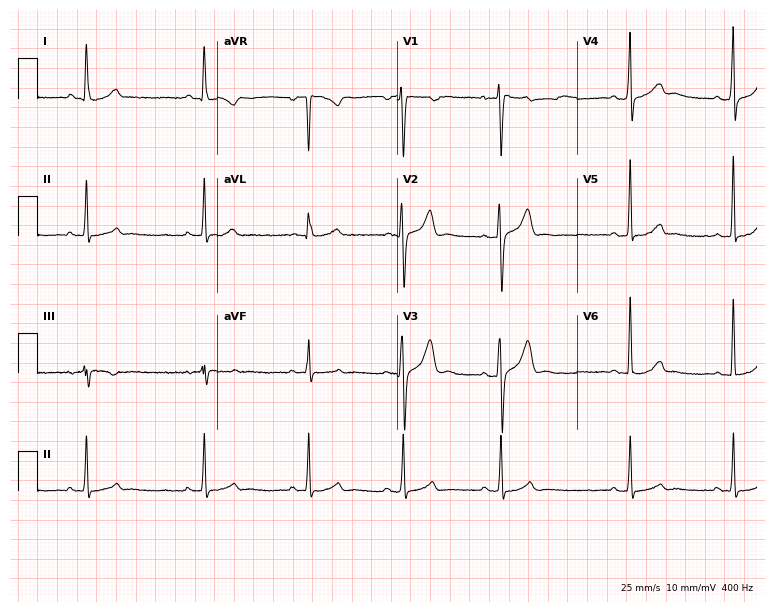
Electrocardiogram (7.3-second recording at 400 Hz), a male, 38 years old. Overall reading on record: normal ECG.